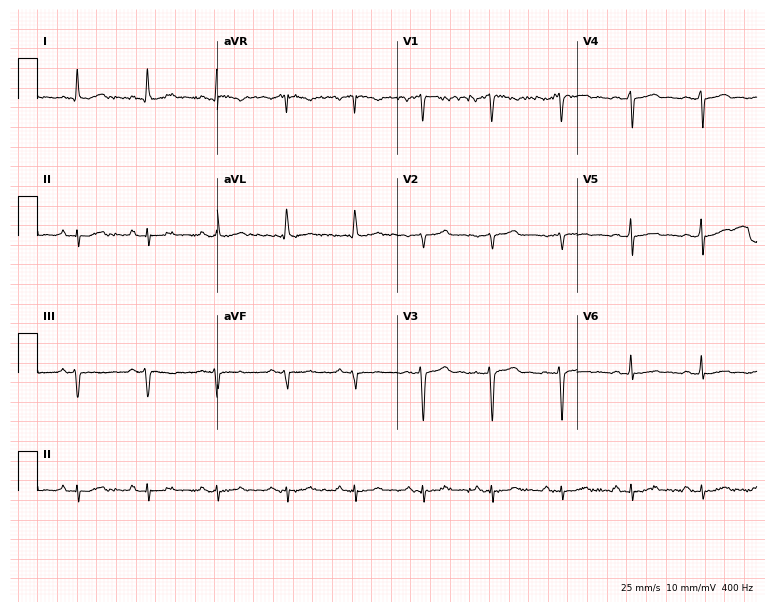
12-lead ECG from a 51-year-old male patient (7.3-second recording at 400 Hz). No first-degree AV block, right bundle branch block (RBBB), left bundle branch block (LBBB), sinus bradycardia, atrial fibrillation (AF) or sinus tachycardia recorded for this tracing. Only these six findings were labelled.